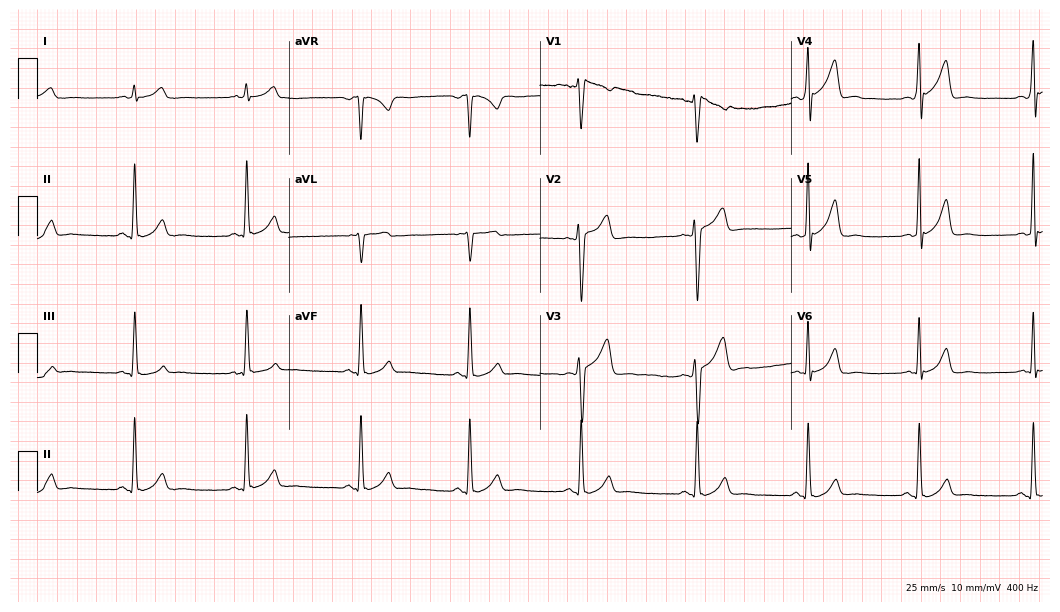
Resting 12-lead electrocardiogram. Patient: a male, 32 years old. Read as a normal ECG.